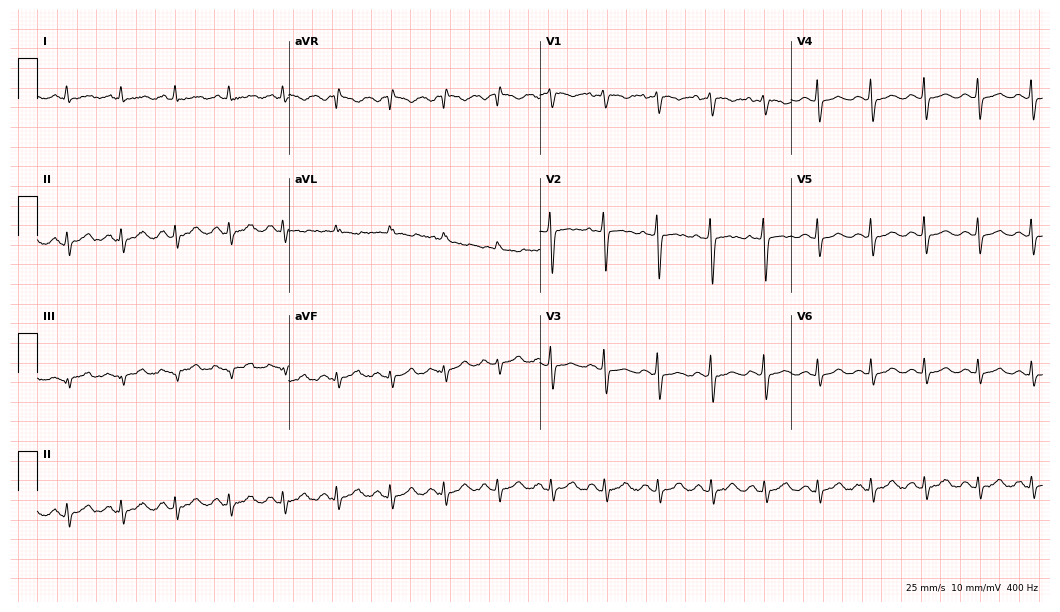
Standard 12-lead ECG recorded from a 61-year-old female (10.2-second recording at 400 Hz). The tracing shows sinus tachycardia (a sinus rate of 100 beats per minute or more).